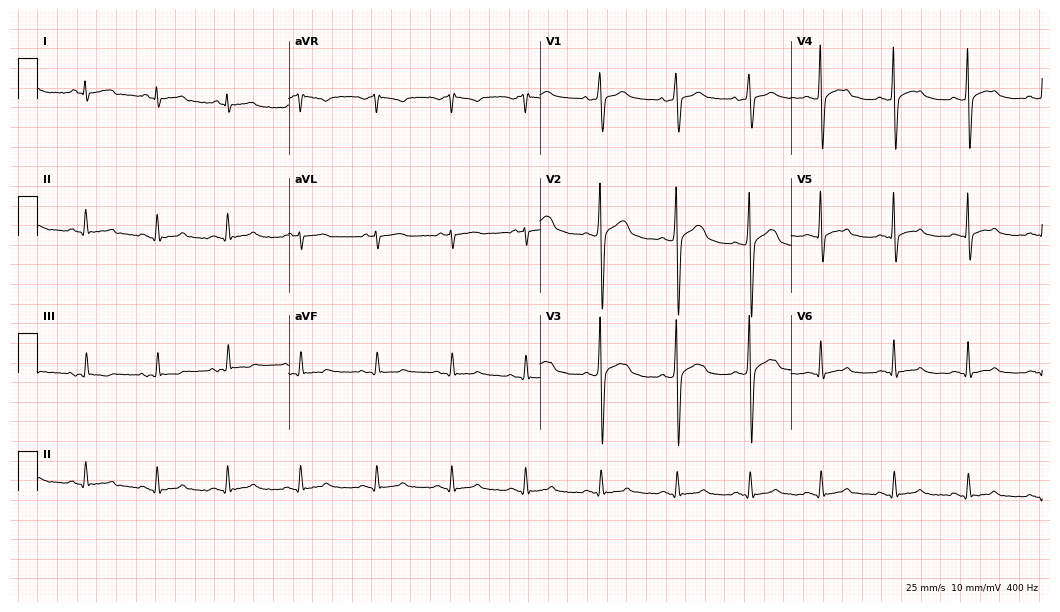
ECG (10.2-second recording at 400 Hz) — a male patient, 31 years old. Labelled as a normal ECG.